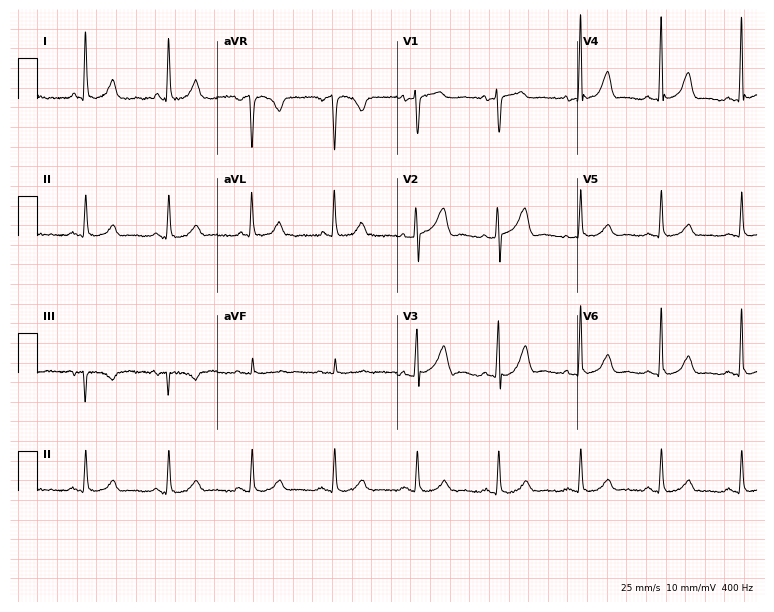
Standard 12-lead ECG recorded from a female patient, 67 years old (7.3-second recording at 400 Hz). Read as a normal ECG.